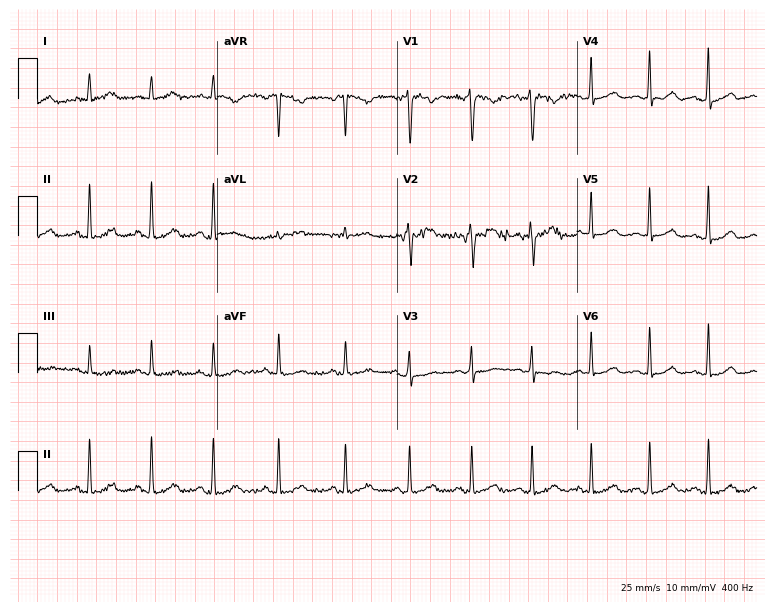
12-lead ECG from a woman, 32 years old (7.3-second recording at 400 Hz). Recorded interpretation: within normal limits.